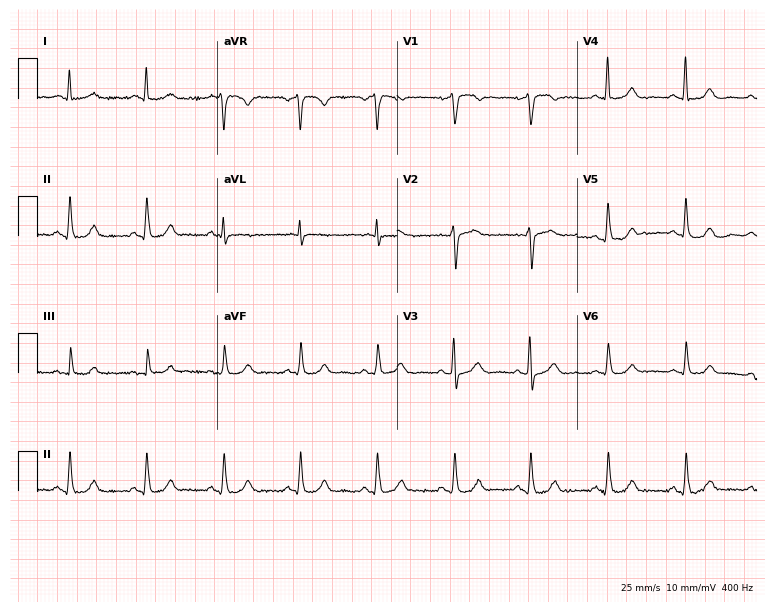
Resting 12-lead electrocardiogram (7.3-second recording at 400 Hz). Patient: a 75-year-old female. None of these six findings is recorded: first-degree AV block, right bundle branch block (RBBB), left bundle branch block (LBBB), sinus bradycardia, atrial fibrillation (AF), sinus tachycardia. Findings outside these six are not listed.